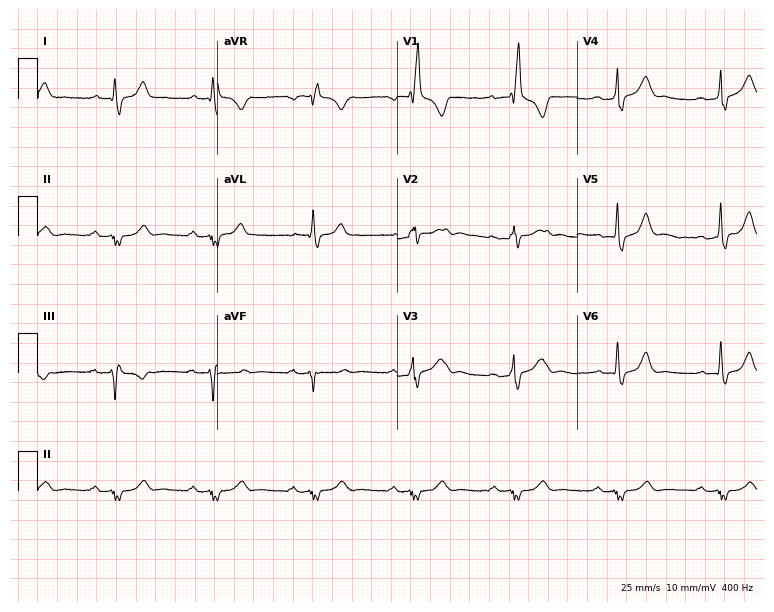
ECG (7.3-second recording at 400 Hz) — a male, 63 years old. Findings include right bundle branch block.